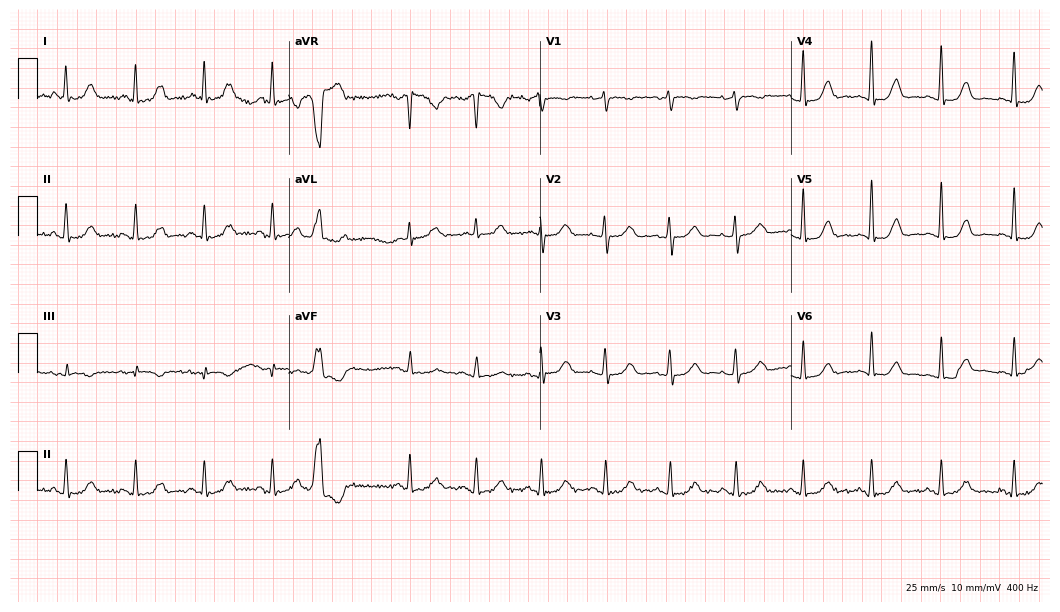
12-lead ECG from a female, 67 years old. Recorded interpretation: within normal limits.